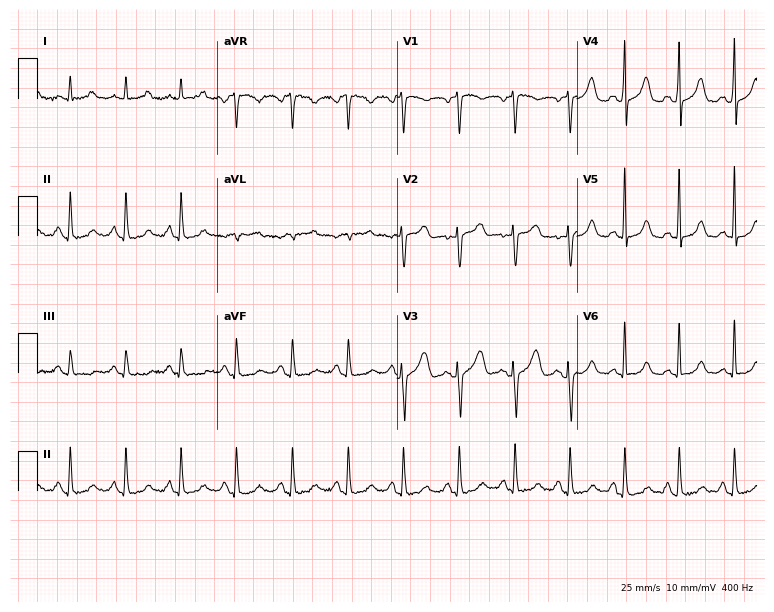
12-lead ECG from a woman, 35 years old. No first-degree AV block, right bundle branch block (RBBB), left bundle branch block (LBBB), sinus bradycardia, atrial fibrillation (AF) or sinus tachycardia recorded for this tracing. Findings outside these six are not listed.